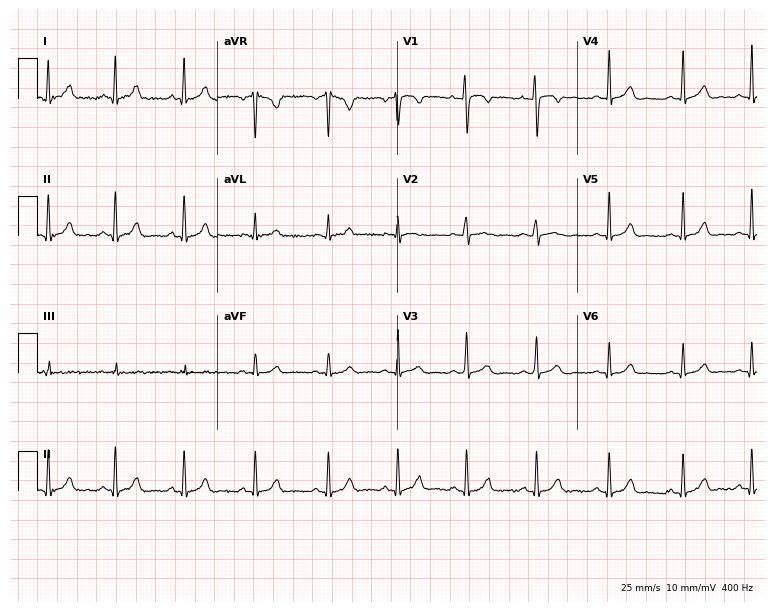
Electrocardiogram, a 19-year-old female. Of the six screened findings (first-degree AV block, right bundle branch block, left bundle branch block, sinus bradycardia, atrial fibrillation, sinus tachycardia), none is recorded.